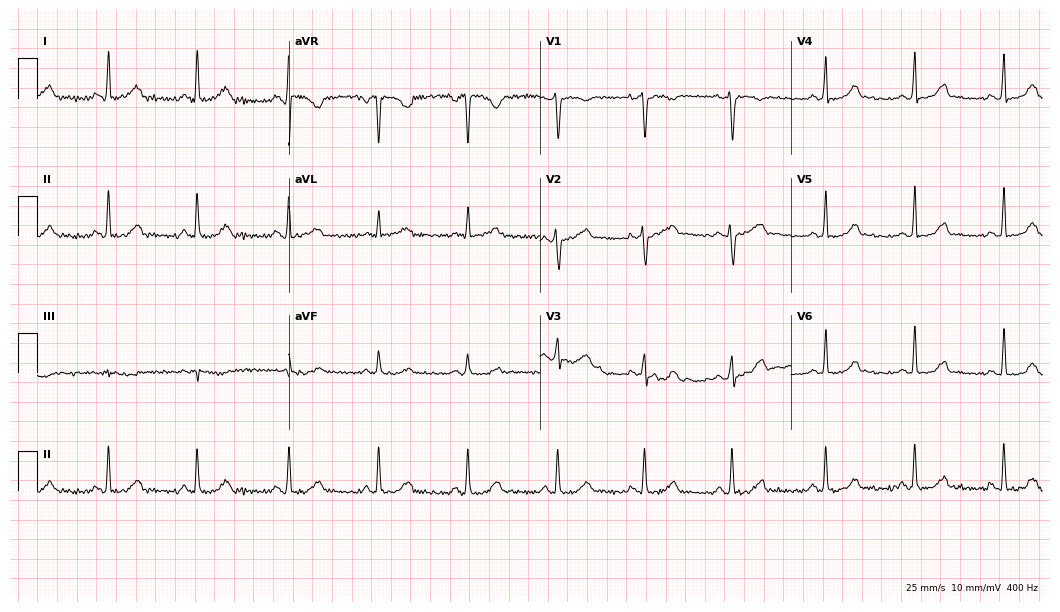
12-lead ECG (10.2-second recording at 400 Hz) from a 39-year-old female patient. Labelled as a normal ECG.